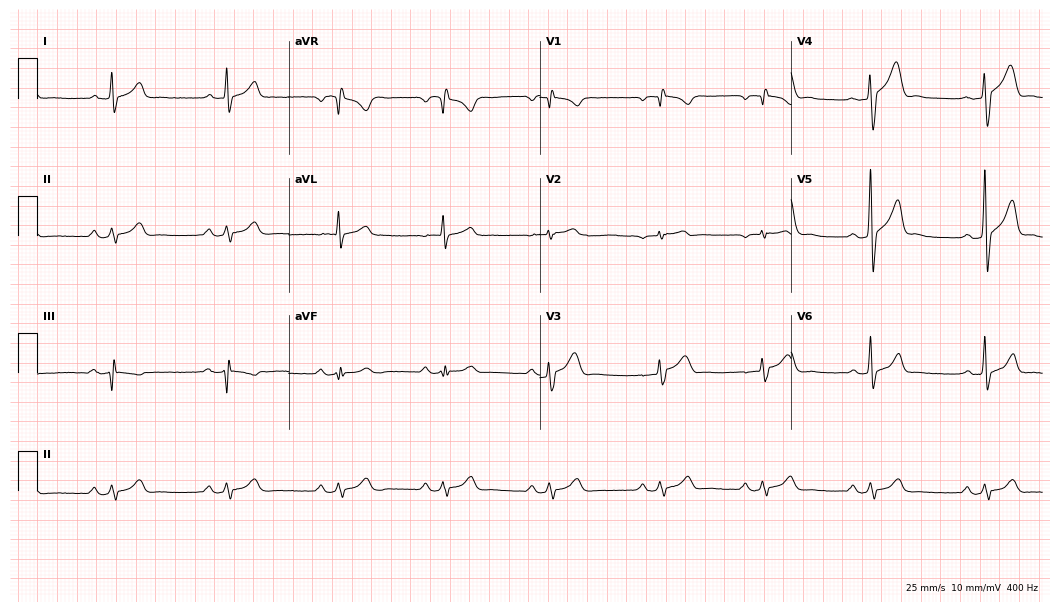
Electrocardiogram (10.2-second recording at 400 Hz), a male patient, 53 years old. Of the six screened findings (first-degree AV block, right bundle branch block (RBBB), left bundle branch block (LBBB), sinus bradycardia, atrial fibrillation (AF), sinus tachycardia), none is recorded. Only these six findings were labelled.